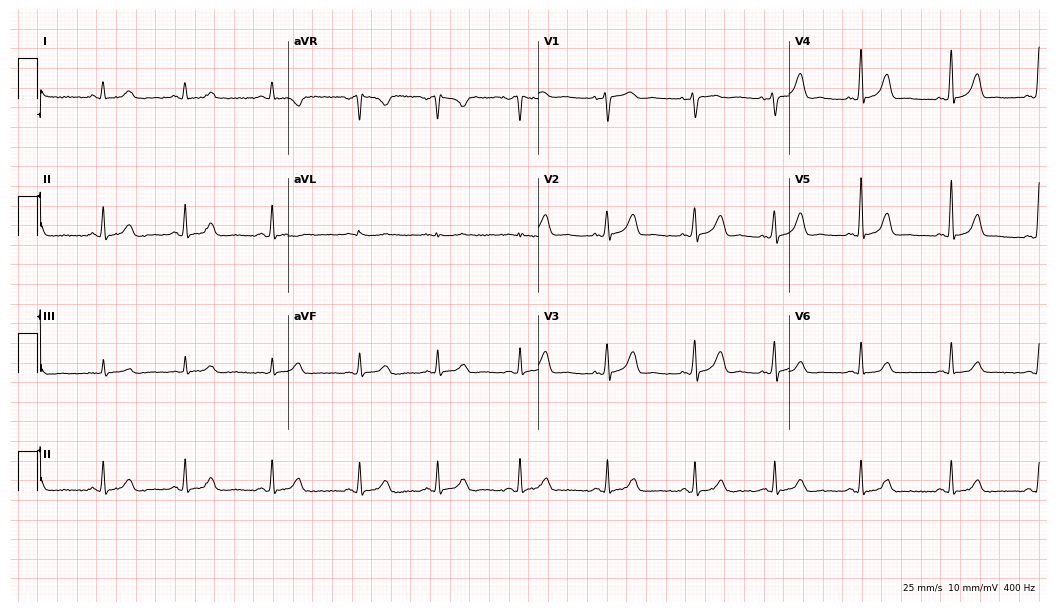
ECG (10.2-second recording at 400 Hz) — a female, 42 years old. Screened for six findings — first-degree AV block, right bundle branch block, left bundle branch block, sinus bradycardia, atrial fibrillation, sinus tachycardia — none is recorded.